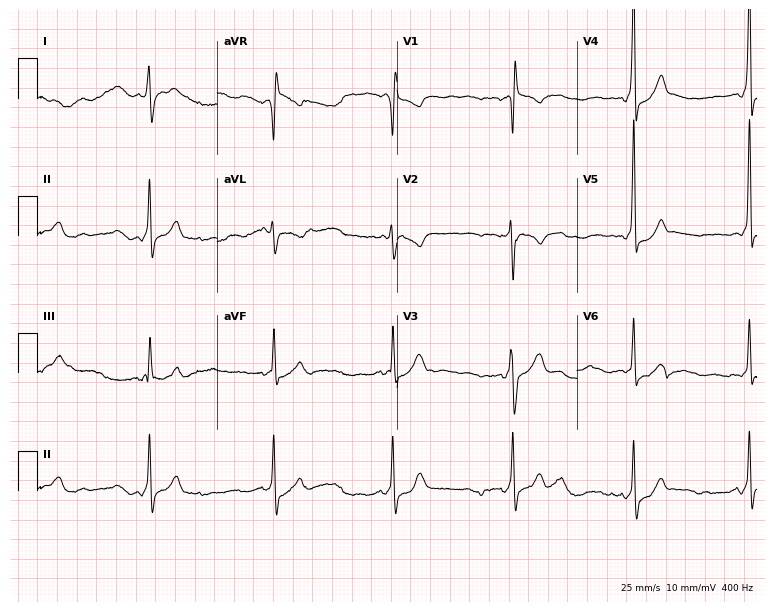
Resting 12-lead electrocardiogram (7.3-second recording at 400 Hz). Patient: a 21-year-old male. None of these six findings is recorded: first-degree AV block, right bundle branch block (RBBB), left bundle branch block (LBBB), sinus bradycardia, atrial fibrillation (AF), sinus tachycardia. Only these six findings were labelled.